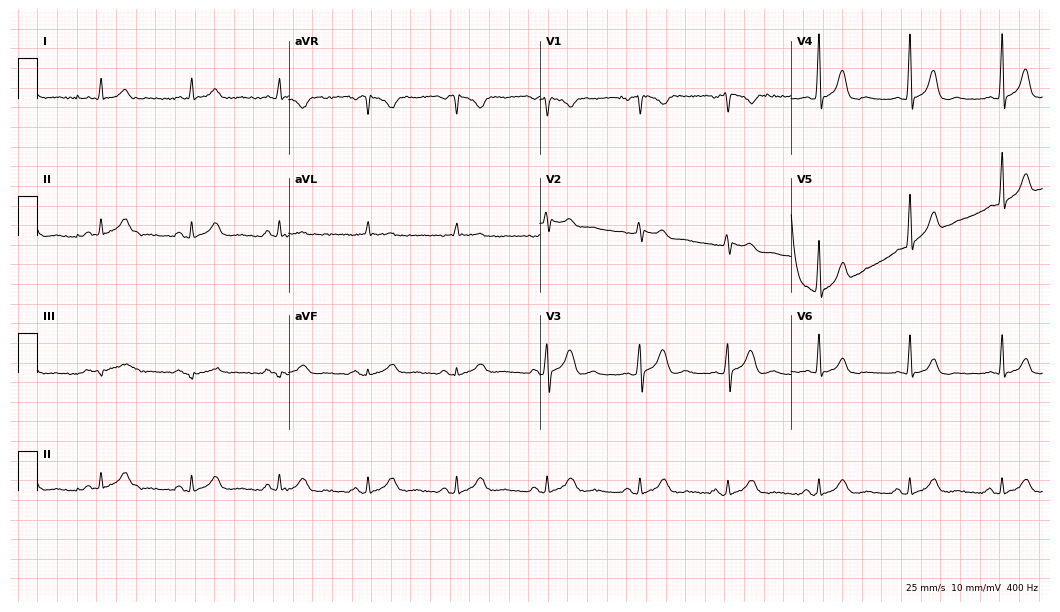
12-lead ECG from a 45-year-old man. No first-degree AV block, right bundle branch block (RBBB), left bundle branch block (LBBB), sinus bradycardia, atrial fibrillation (AF) or sinus tachycardia recorded for this tracing. Other findings, if any, are not listed.